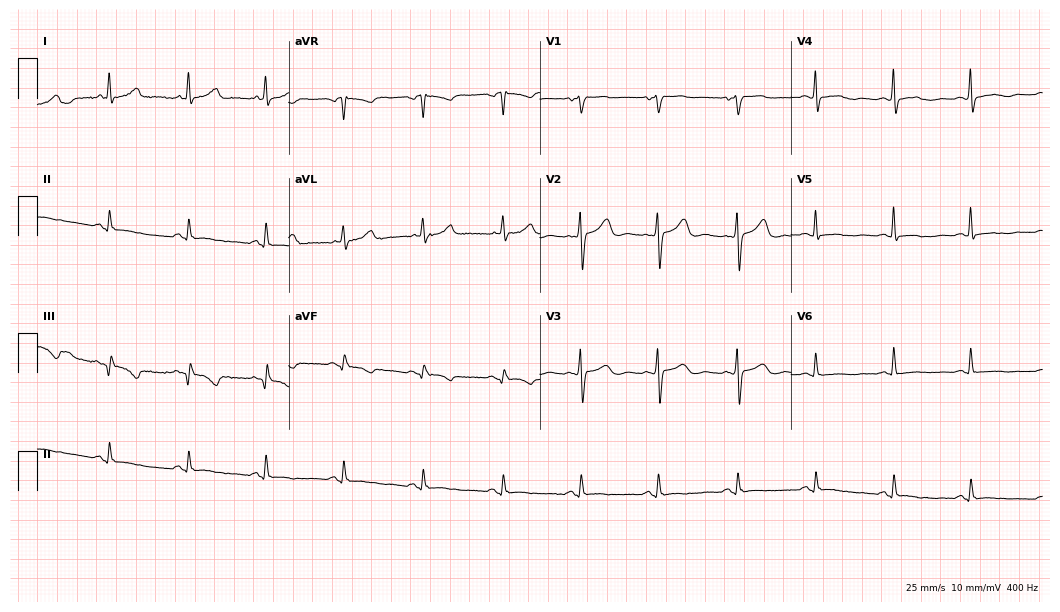
12-lead ECG from a female, 64 years old. Screened for six findings — first-degree AV block, right bundle branch block, left bundle branch block, sinus bradycardia, atrial fibrillation, sinus tachycardia — none is recorded. Findings outside these six are not listed.